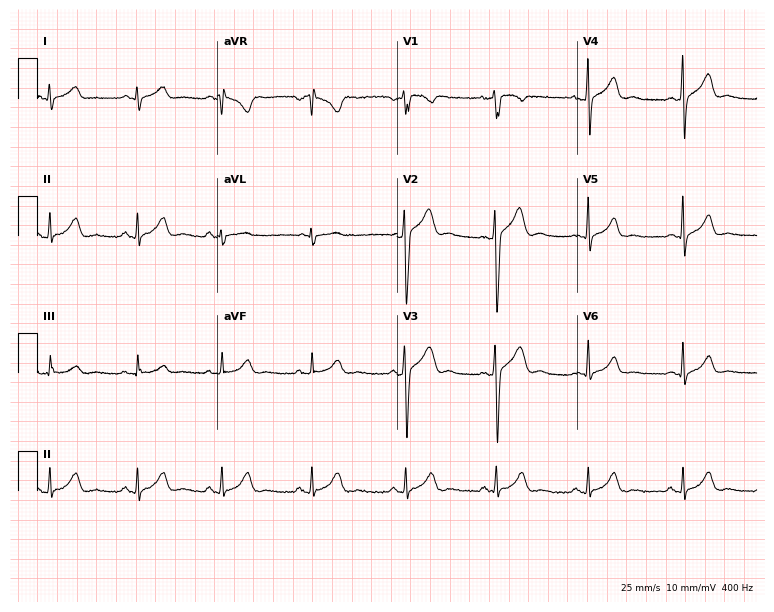
Resting 12-lead electrocardiogram (7.3-second recording at 400 Hz). Patient: a 31-year-old male. None of these six findings is recorded: first-degree AV block, right bundle branch block, left bundle branch block, sinus bradycardia, atrial fibrillation, sinus tachycardia. Other findings, if any, are not listed.